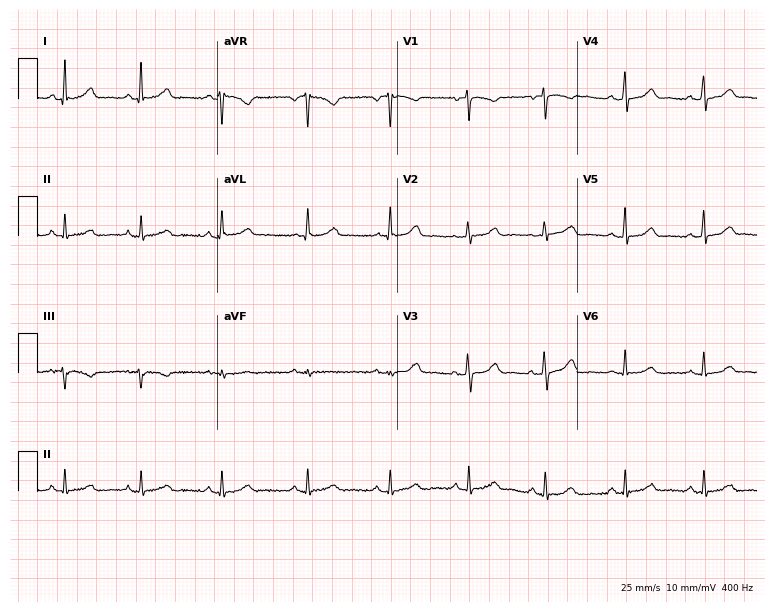
Standard 12-lead ECG recorded from a 45-year-old woman. Read as a normal ECG.